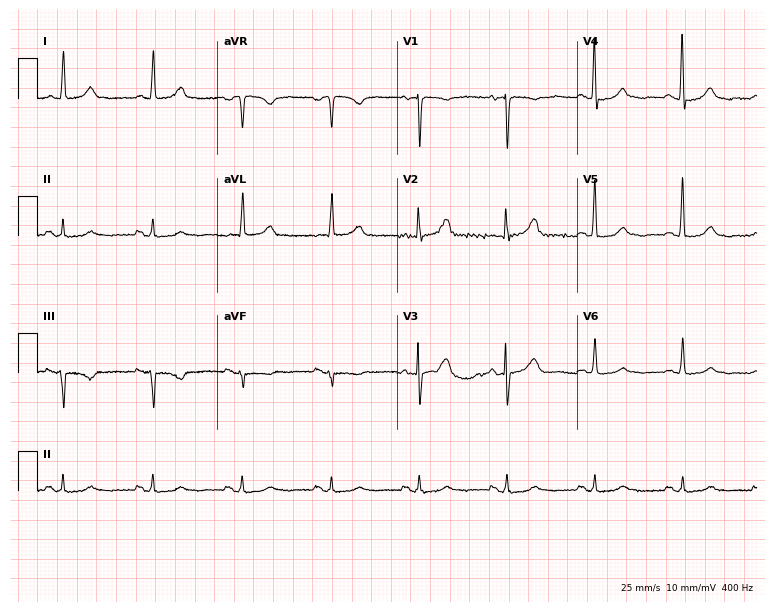
ECG (7.3-second recording at 400 Hz) — a 75-year-old female. Screened for six findings — first-degree AV block, right bundle branch block (RBBB), left bundle branch block (LBBB), sinus bradycardia, atrial fibrillation (AF), sinus tachycardia — none is recorded.